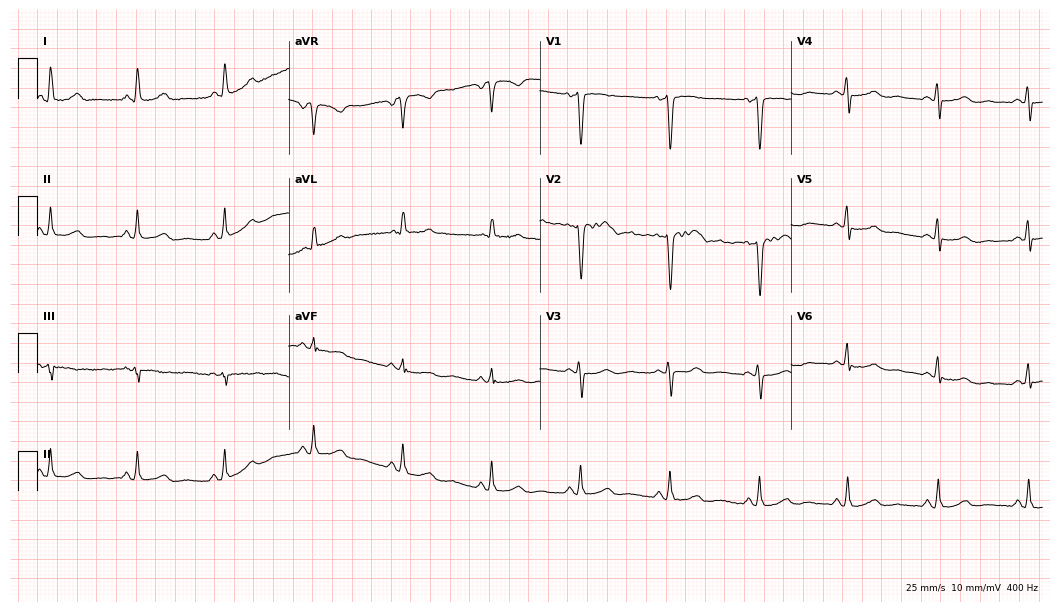
ECG (10.2-second recording at 400 Hz) — a female patient, 52 years old. Labelled as a normal ECG.